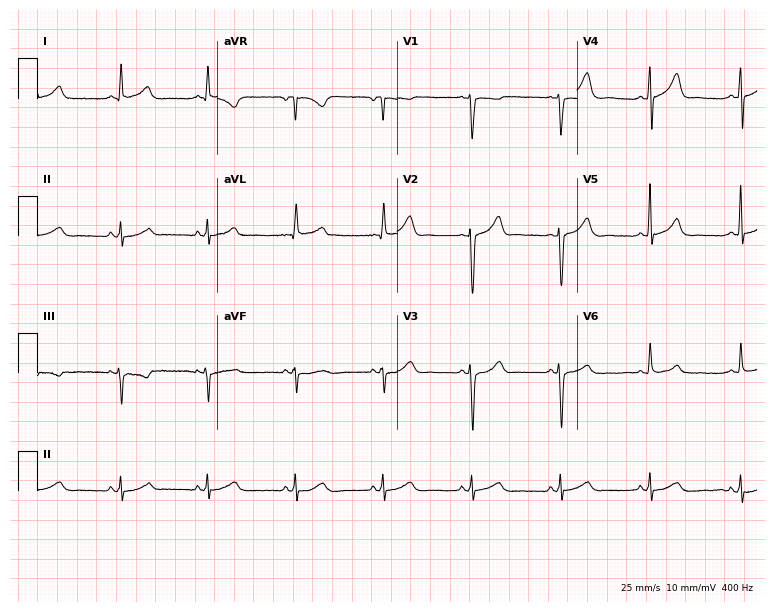
Electrocardiogram, a 72-year-old male. Of the six screened findings (first-degree AV block, right bundle branch block, left bundle branch block, sinus bradycardia, atrial fibrillation, sinus tachycardia), none is recorded. Only these six findings were labelled.